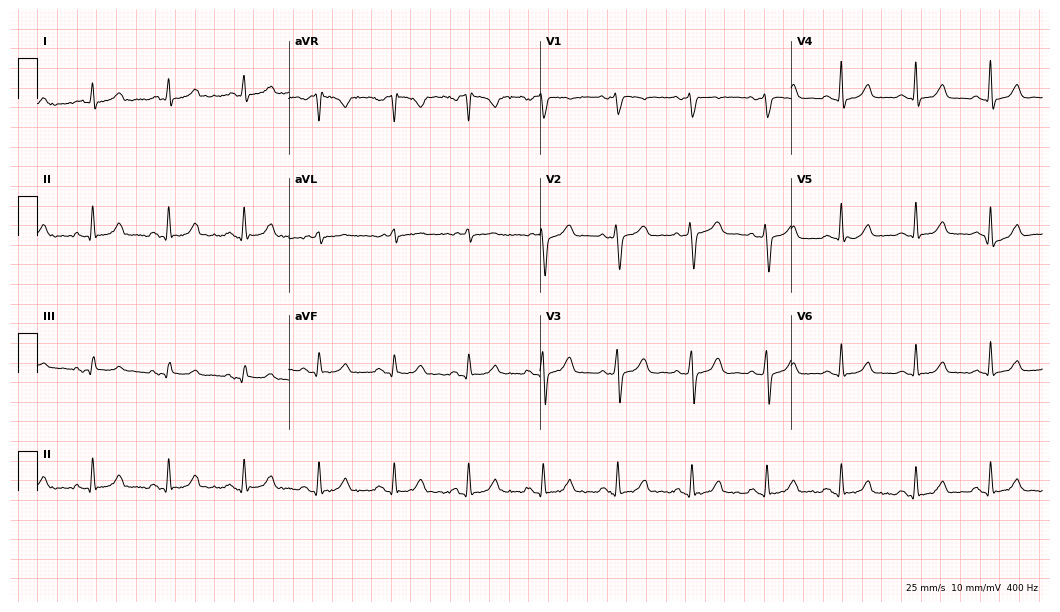
Standard 12-lead ECG recorded from a 77-year-old female patient (10.2-second recording at 400 Hz). Read as a normal ECG.